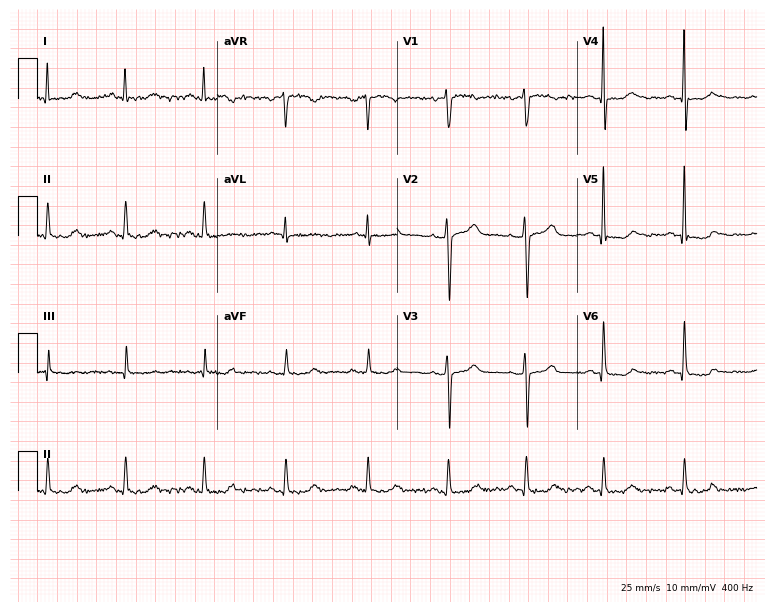
ECG (7.3-second recording at 400 Hz) — a 54-year-old woman. Screened for six findings — first-degree AV block, right bundle branch block, left bundle branch block, sinus bradycardia, atrial fibrillation, sinus tachycardia — none is recorded. Only these six findings were labelled.